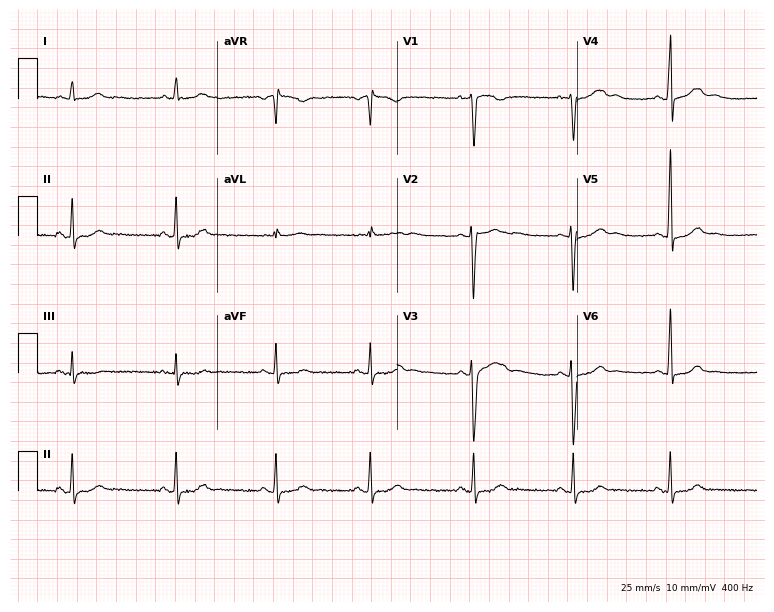
Electrocardiogram (7.3-second recording at 400 Hz), a 23-year-old female. Of the six screened findings (first-degree AV block, right bundle branch block, left bundle branch block, sinus bradycardia, atrial fibrillation, sinus tachycardia), none is recorded. Other findings, if any, are not listed.